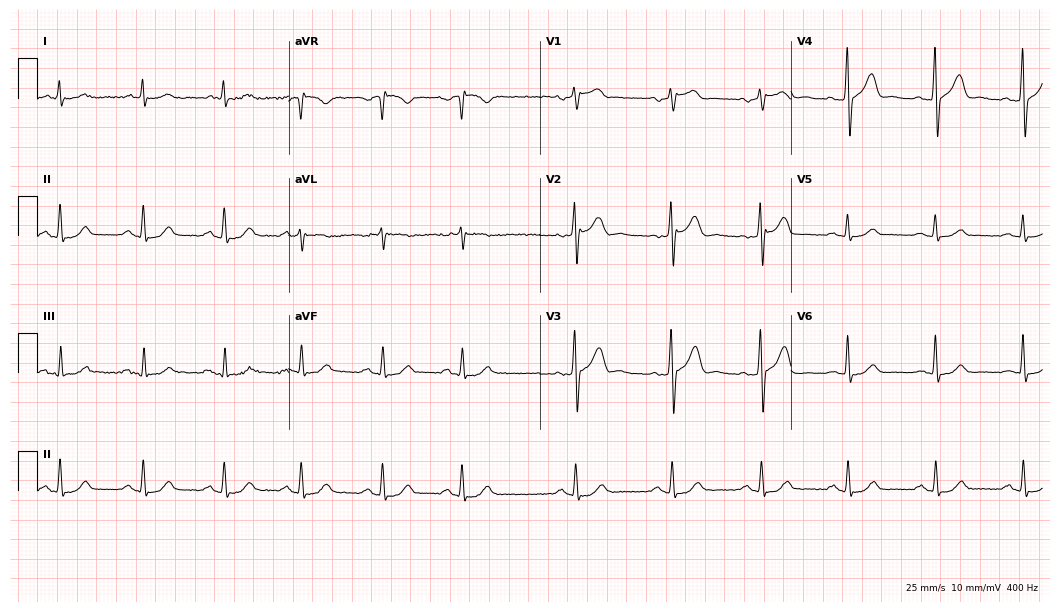
12-lead ECG from a male, 57 years old. Recorded interpretation: within normal limits.